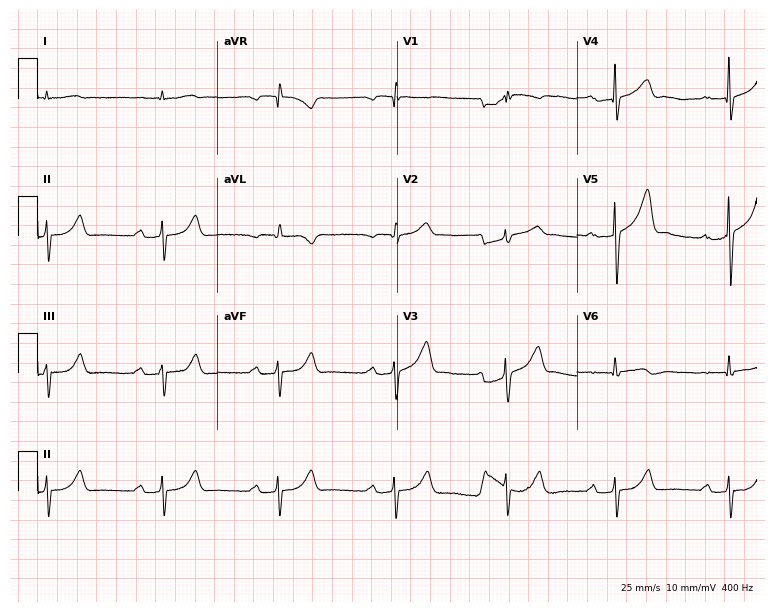
12-lead ECG (7.3-second recording at 400 Hz) from a female patient, 75 years old. Findings include first-degree AV block.